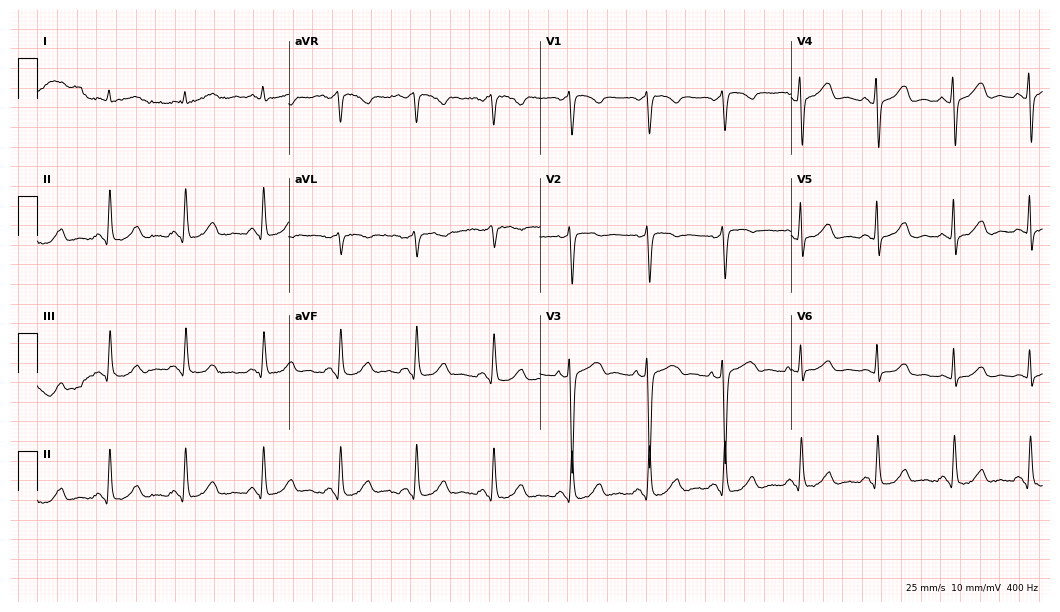
Electrocardiogram, a 64-year-old male. Overall reading on record: normal ECG.